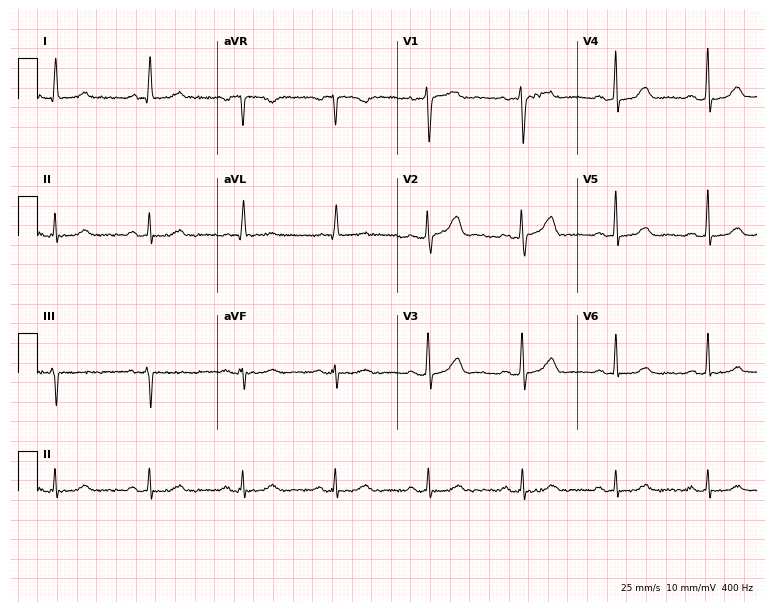
Electrocardiogram (7.3-second recording at 400 Hz), a 56-year-old woman. Overall reading on record: normal ECG.